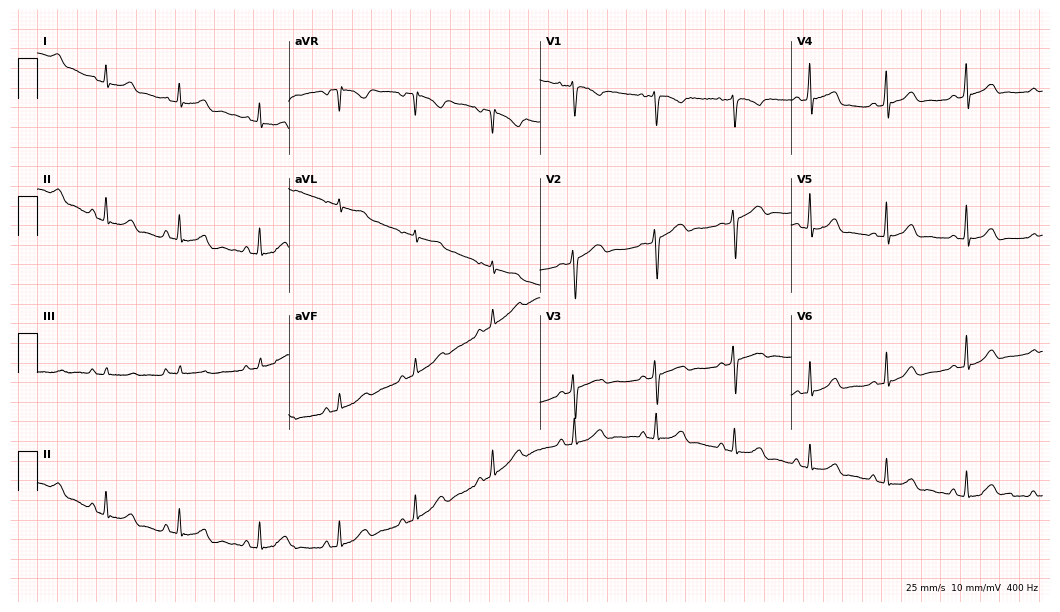
12-lead ECG (10.2-second recording at 400 Hz) from a female, 20 years old. Screened for six findings — first-degree AV block, right bundle branch block, left bundle branch block, sinus bradycardia, atrial fibrillation, sinus tachycardia — none is recorded. Other findings, if any, are not listed.